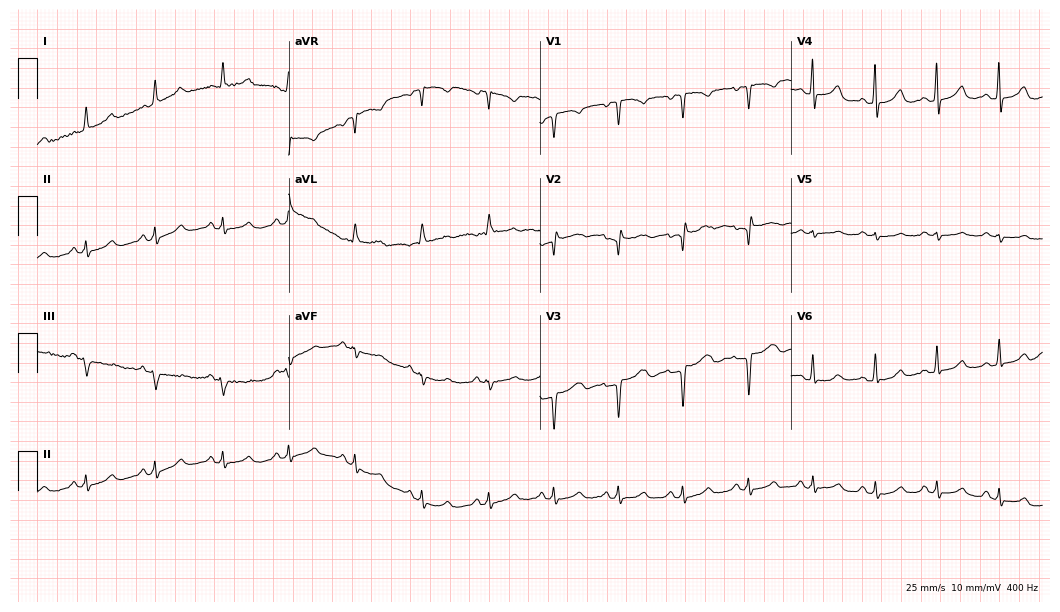
12-lead ECG from a female patient, 29 years old (10.2-second recording at 400 Hz). No first-degree AV block, right bundle branch block, left bundle branch block, sinus bradycardia, atrial fibrillation or sinus tachycardia recorded for this tracing. Other findings, if any, are not listed.